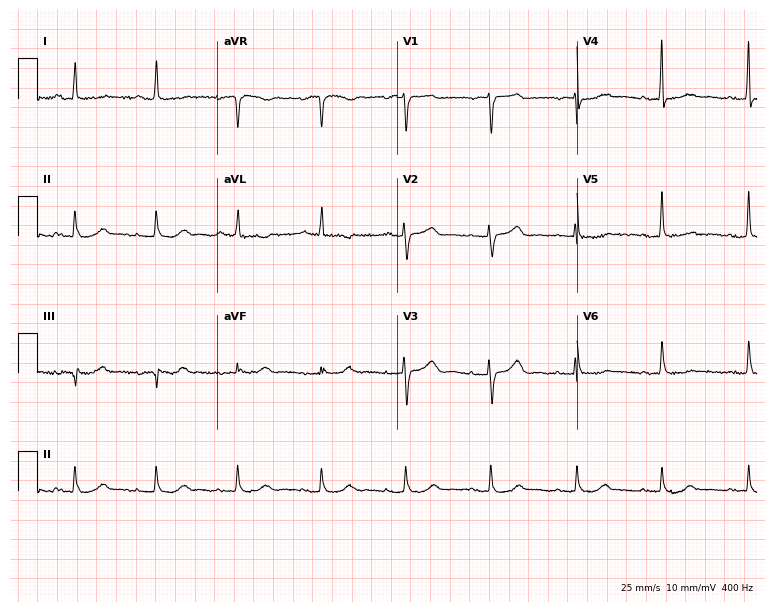
ECG — a 66-year-old female. Screened for six findings — first-degree AV block, right bundle branch block, left bundle branch block, sinus bradycardia, atrial fibrillation, sinus tachycardia — none is recorded.